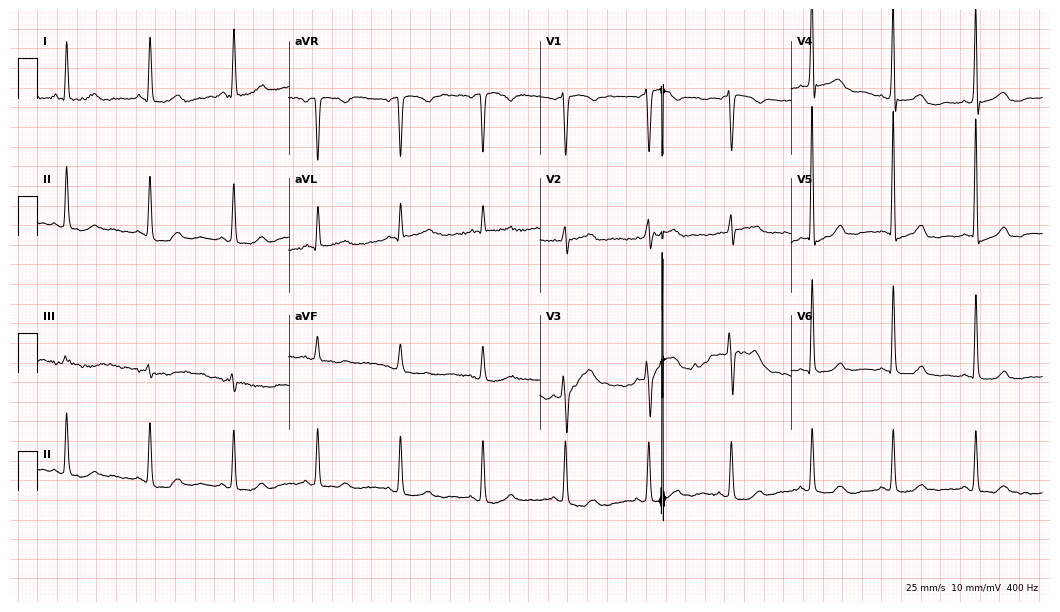
Standard 12-lead ECG recorded from a woman, 76 years old (10.2-second recording at 400 Hz). Read as a normal ECG.